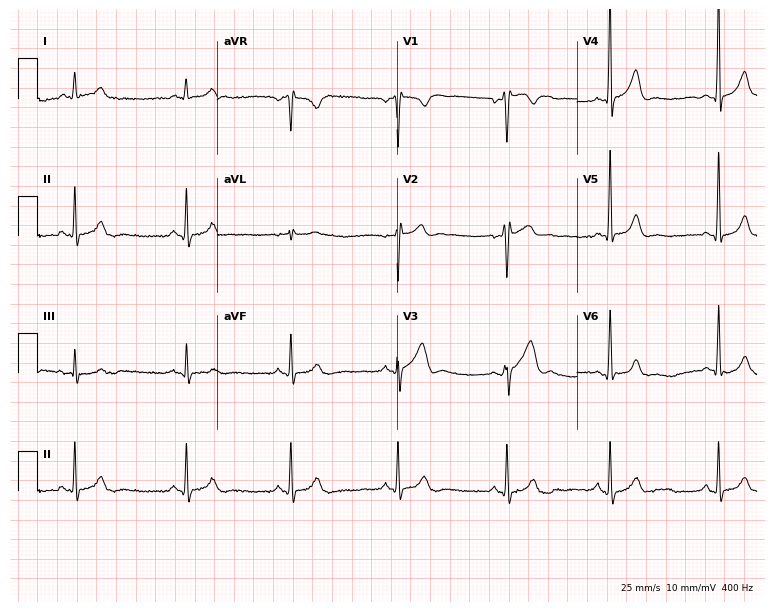
ECG (7.3-second recording at 400 Hz) — a male patient, 22 years old. Screened for six findings — first-degree AV block, right bundle branch block (RBBB), left bundle branch block (LBBB), sinus bradycardia, atrial fibrillation (AF), sinus tachycardia — none is recorded. Other findings, if any, are not listed.